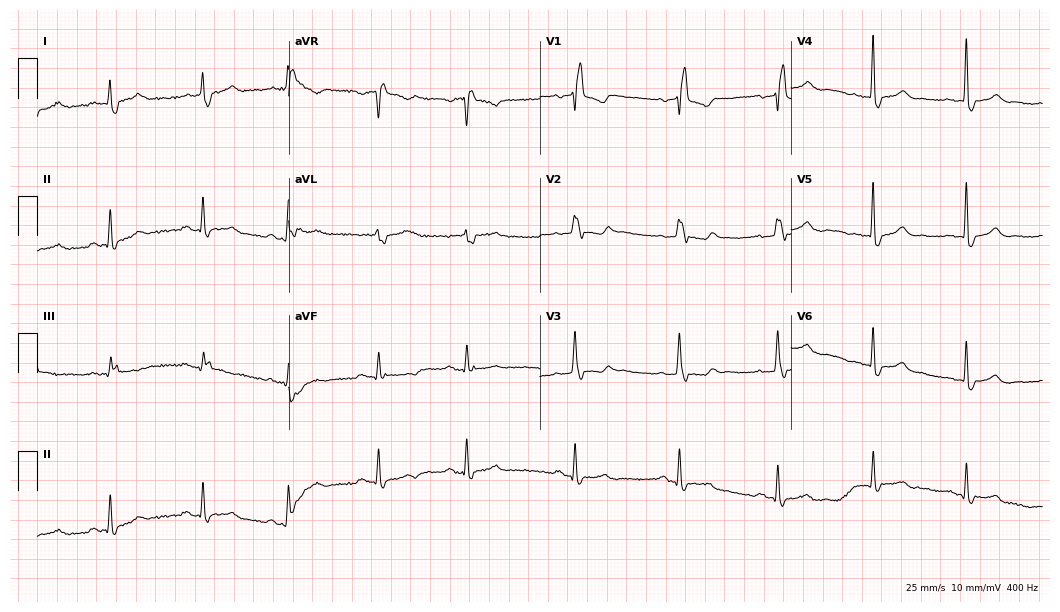
Resting 12-lead electrocardiogram. Patient: a male, 76 years old. The tracing shows right bundle branch block.